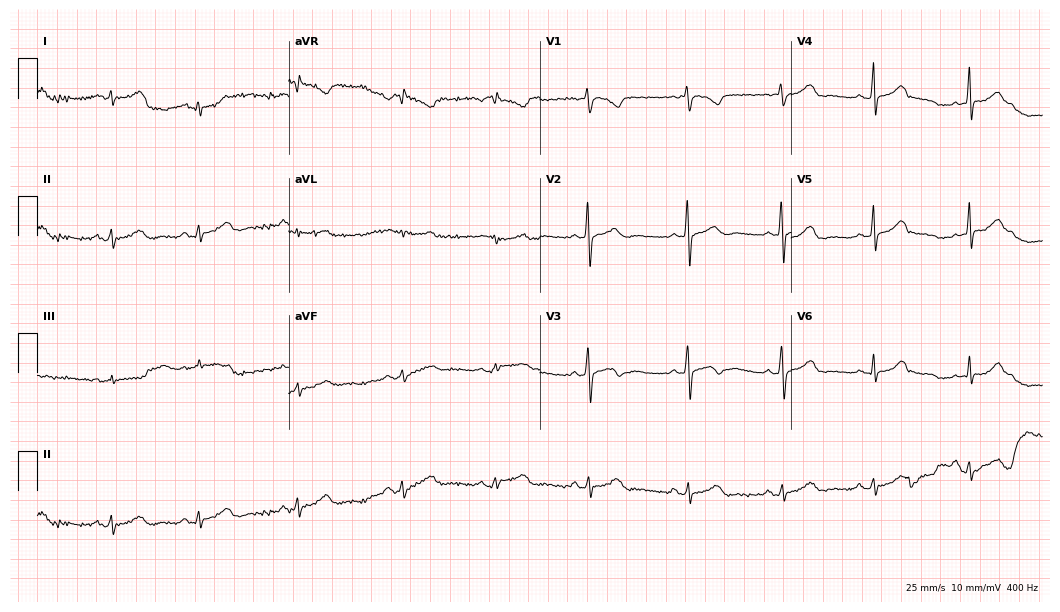
Resting 12-lead electrocardiogram. Patient: an 18-year-old female. Read as a normal ECG.